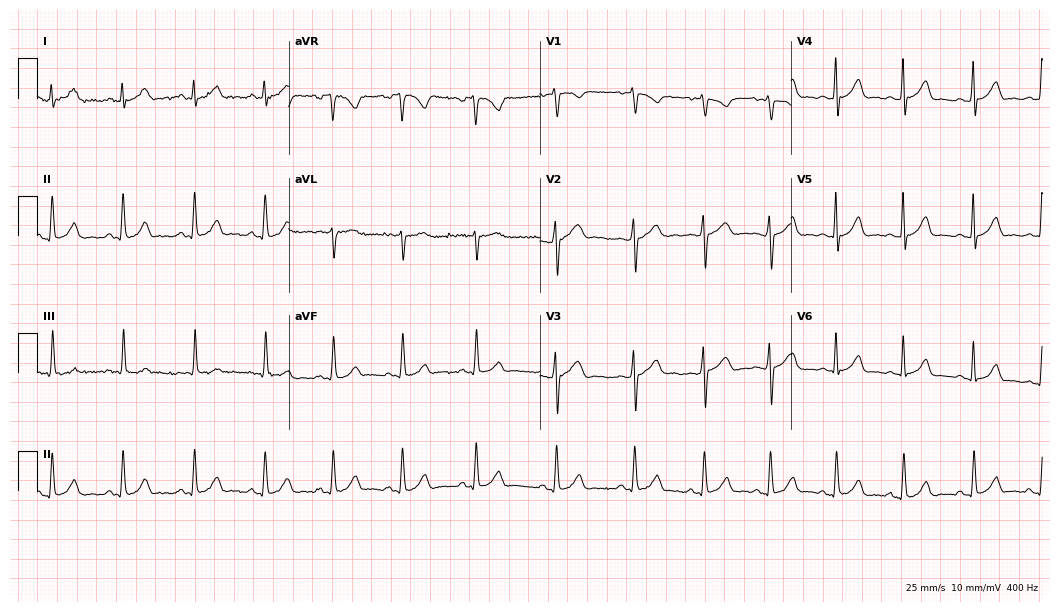
Resting 12-lead electrocardiogram. Patient: a female, 24 years old. None of these six findings is recorded: first-degree AV block, right bundle branch block, left bundle branch block, sinus bradycardia, atrial fibrillation, sinus tachycardia. Other findings, if any, are not listed.